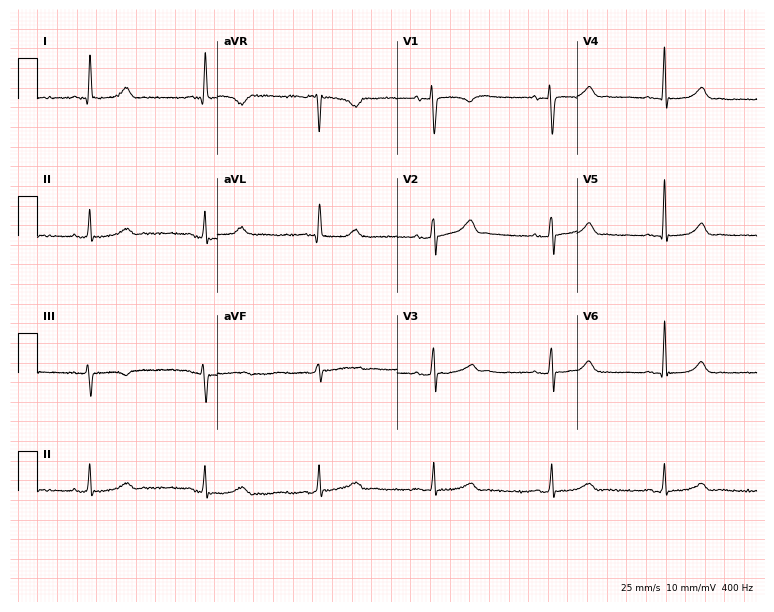
ECG (7.3-second recording at 400 Hz) — a female patient, 51 years old. Screened for six findings — first-degree AV block, right bundle branch block (RBBB), left bundle branch block (LBBB), sinus bradycardia, atrial fibrillation (AF), sinus tachycardia — none is recorded. Findings outside these six are not listed.